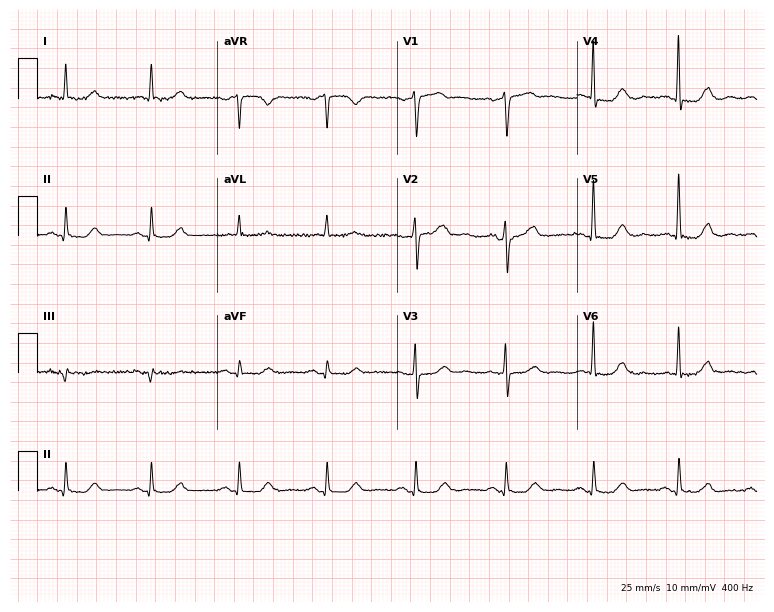
ECG — a 63-year-old woman. Labelled as a normal ECG.